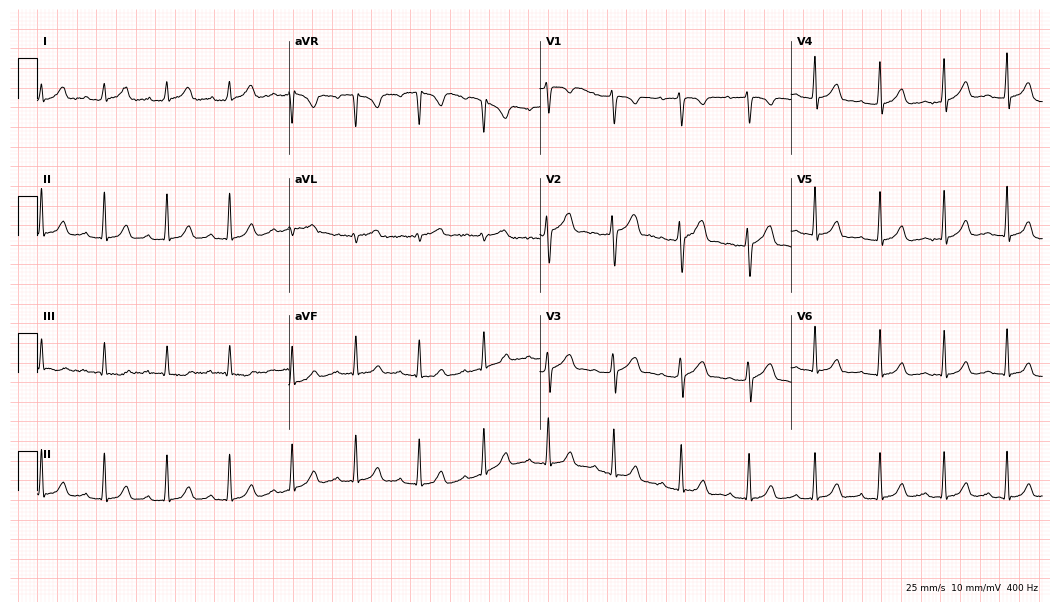
Standard 12-lead ECG recorded from a female patient, 26 years old (10.2-second recording at 400 Hz). Read as a normal ECG.